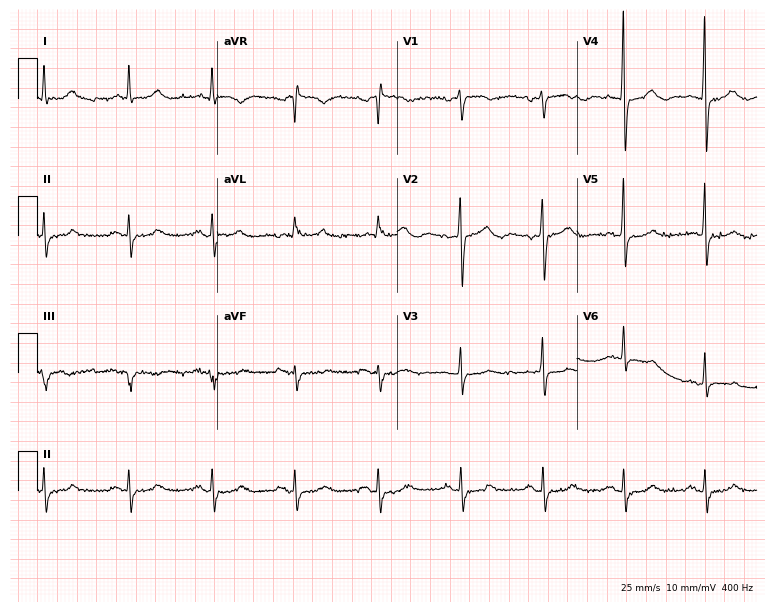
12-lead ECG from a woman, 74 years old. Labelled as a normal ECG.